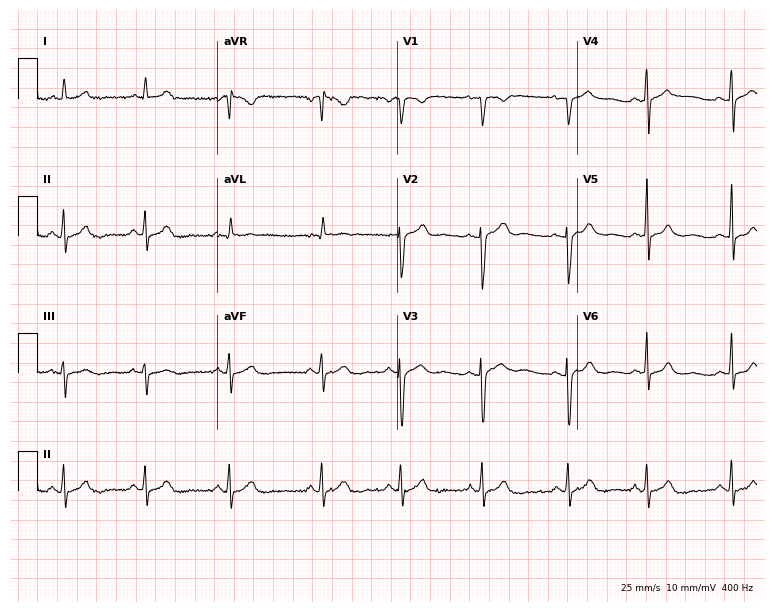
Resting 12-lead electrocardiogram. Patient: a 37-year-old woman. Read as a normal ECG.